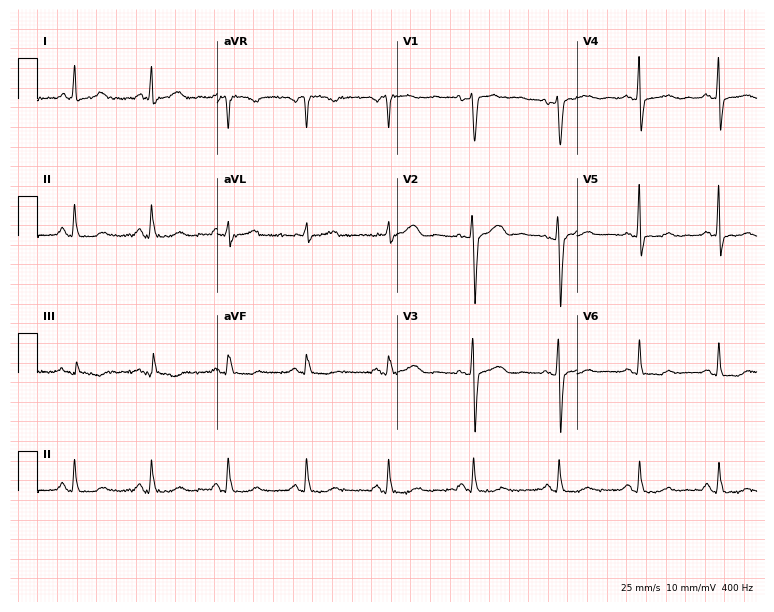
Standard 12-lead ECG recorded from a 44-year-old woman (7.3-second recording at 400 Hz). None of these six findings is recorded: first-degree AV block, right bundle branch block, left bundle branch block, sinus bradycardia, atrial fibrillation, sinus tachycardia. Other findings, if any, are not listed.